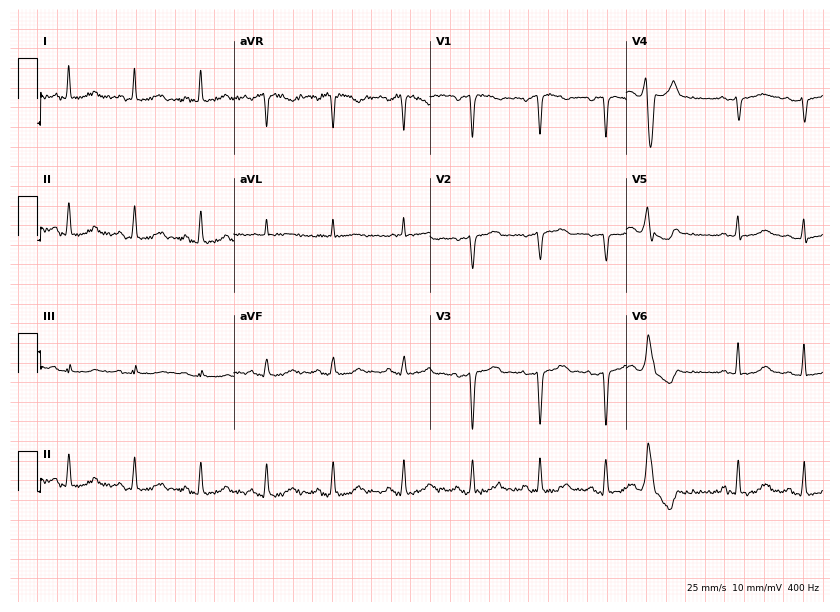
12-lead ECG from a female, 58 years old (8-second recording at 400 Hz). No first-degree AV block, right bundle branch block (RBBB), left bundle branch block (LBBB), sinus bradycardia, atrial fibrillation (AF) or sinus tachycardia recorded for this tracing. Findings outside these six are not listed.